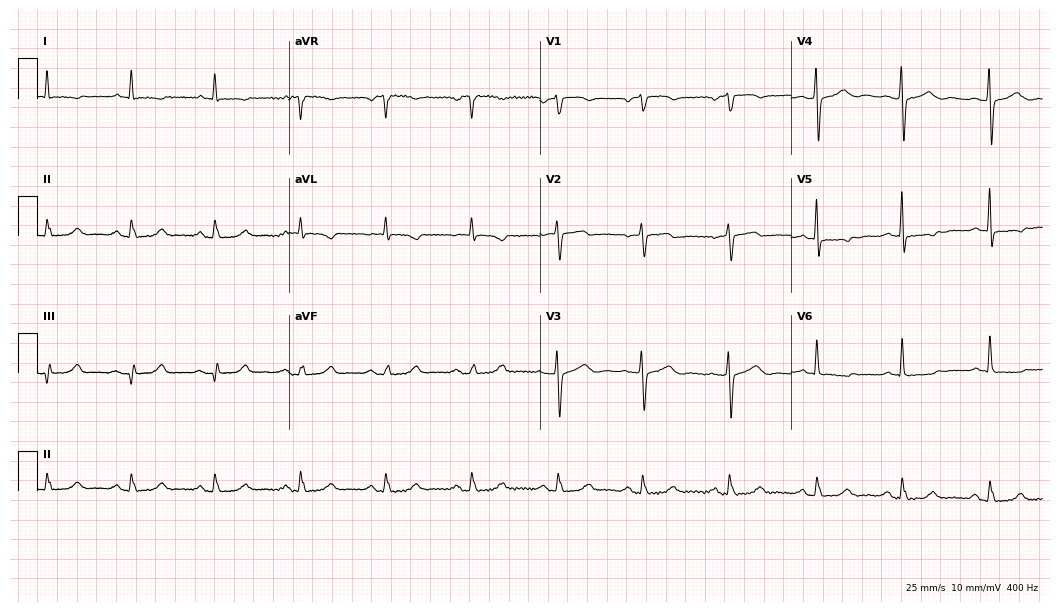
Standard 12-lead ECG recorded from a female, 67 years old (10.2-second recording at 400 Hz). None of these six findings is recorded: first-degree AV block, right bundle branch block (RBBB), left bundle branch block (LBBB), sinus bradycardia, atrial fibrillation (AF), sinus tachycardia.